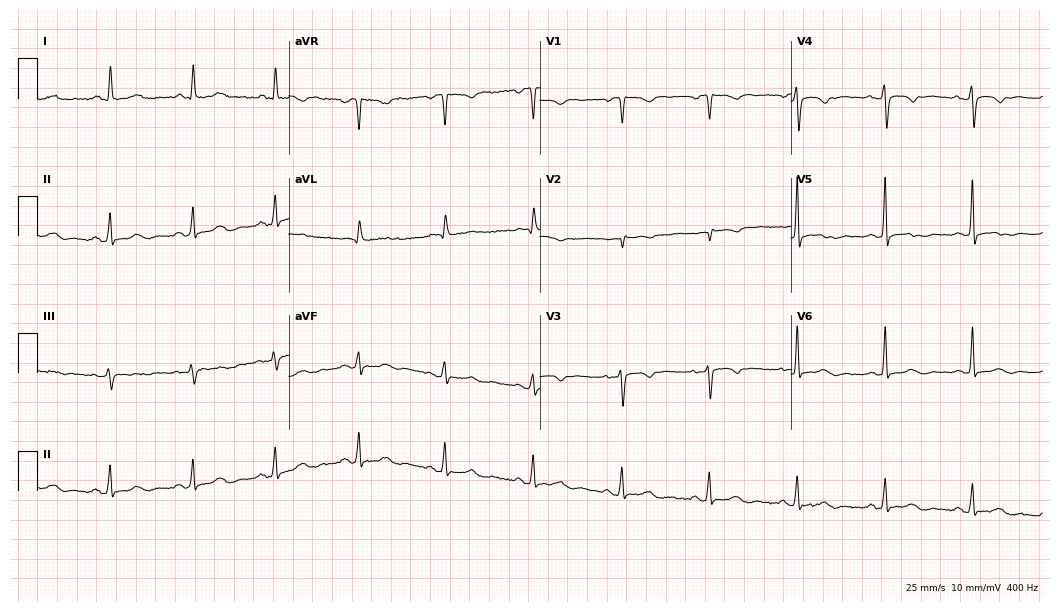
12-lead ECG from a 60-year-old female. Screened for six findings — first-degree AV block, right bundle branch block, left bundle branch block, sinus bradycardia, atrial fibrillation, sinus tachycardia — none is recorded. Other findings, if any, are not listed.